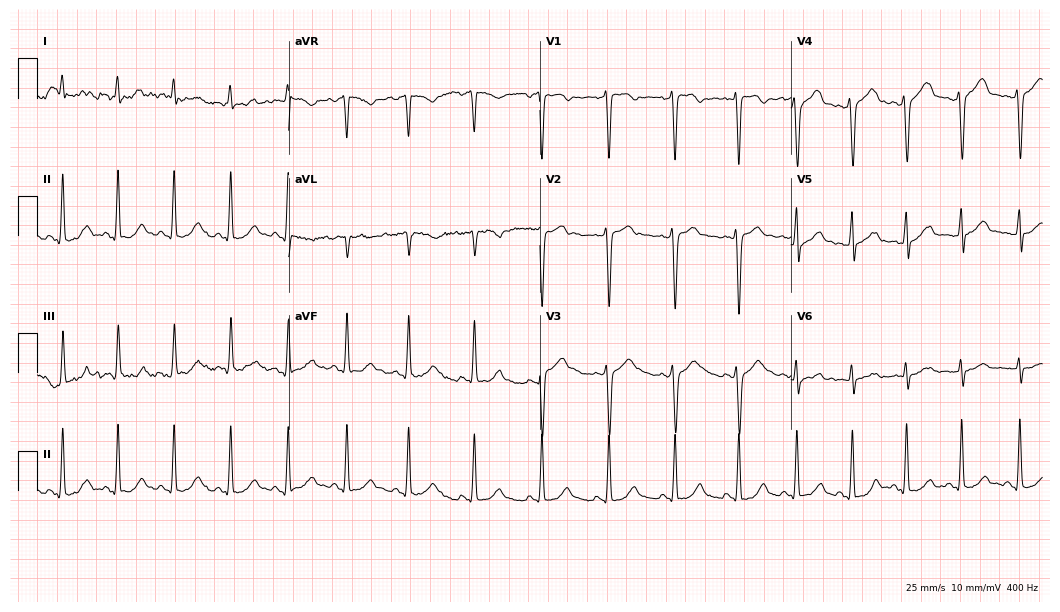
Electrocardiogram (10.2-second recording at 400 Hz), a male, 31 years old. Overall reading on record: normal ECG.